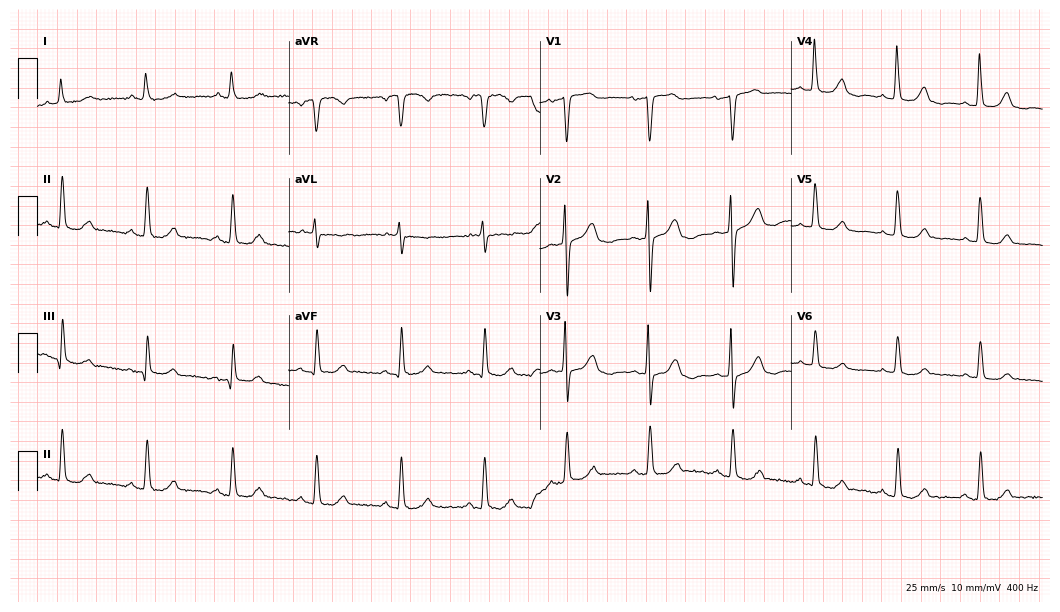
Standard 12-lead ECG recorded from a 70-year-old woman. Read as a normal ECG.